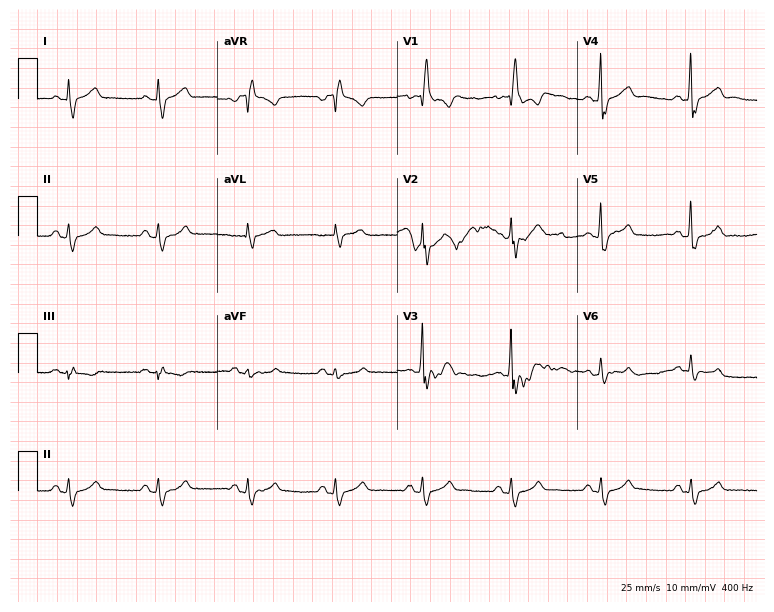
ECG (7.3-second recording at 400 Hz) — a 66-year-old male patient. Findings include right bundle branch block (RBBB).